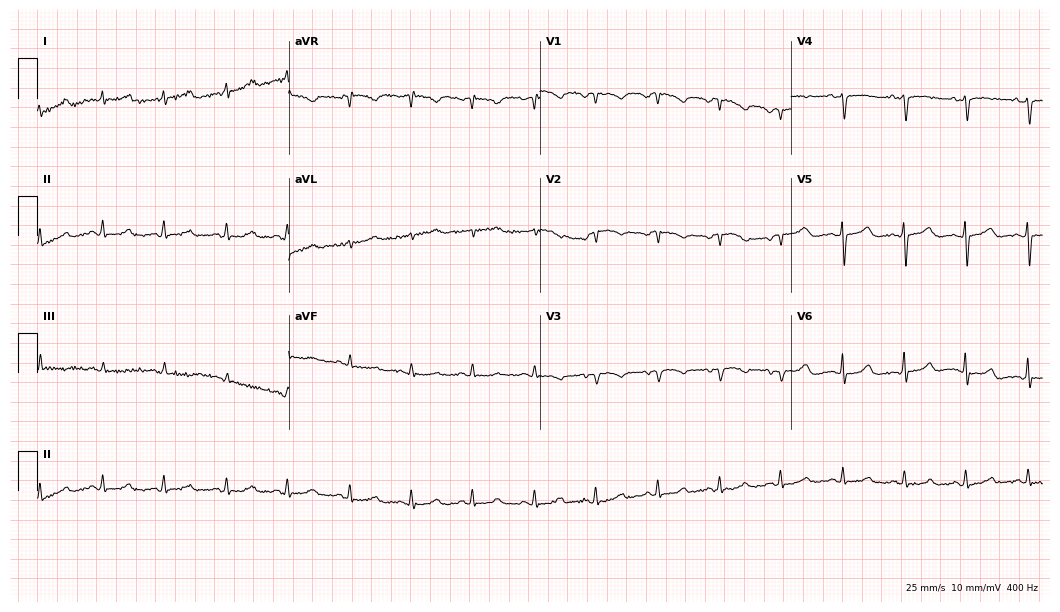
Electrocardiogram, a 57-year-old woman. Of the six screened findings (first-degree AV block, right bundle branch block, left bundle branch block, sinus bradycardia, atrial fibrillation, sinus tachycardia), none is recorded. Findings outside these six are not listed.